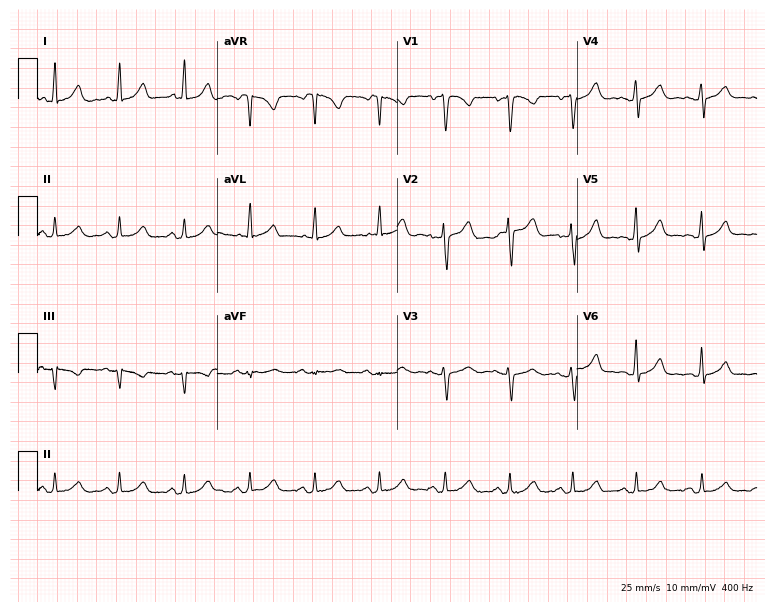
Resting 12-lead electrocardiogram. Patient: a 43-year-old female. Read as a normal ECG.